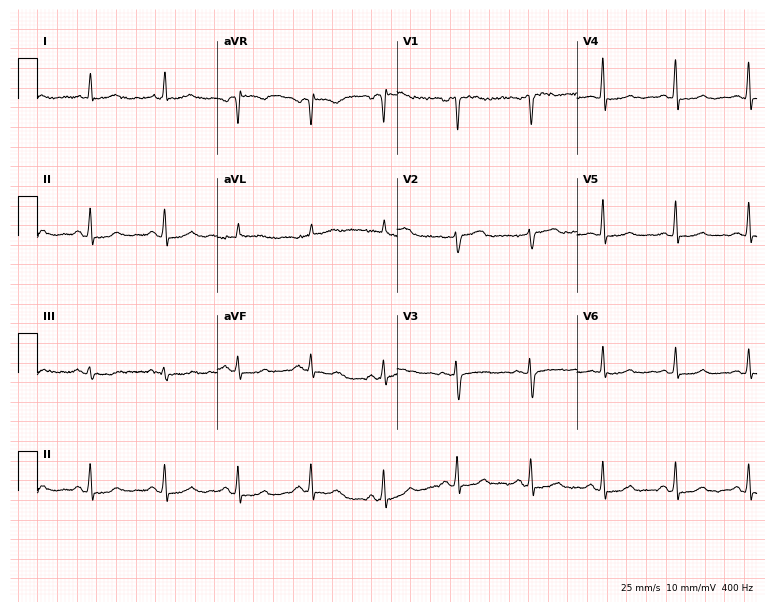
ECG — a female, 55 years old. Screened for six findings — first-degree AV block, right bundle branch block (RBBB), left bundle branch block (LBBB), sinus bradycardia, atrial fibrillation (AF), sinus tachycardia — none is recorded. Other findings, if any, are not listed.